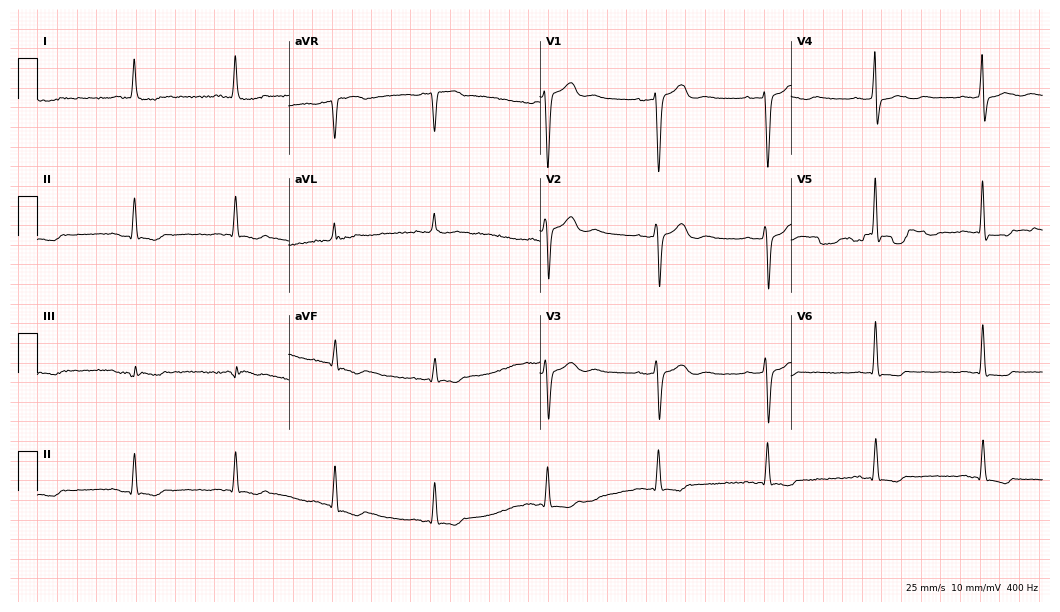
12-lead ECG from an 82-year-old female patient. Screened for six findings — first-degree AV block, right bundle branch block, left bundle branch block, sinus bradycardia, atrial fibrillation, sinus tachycardia — none is recorded. Other findings, if any, are not listed.